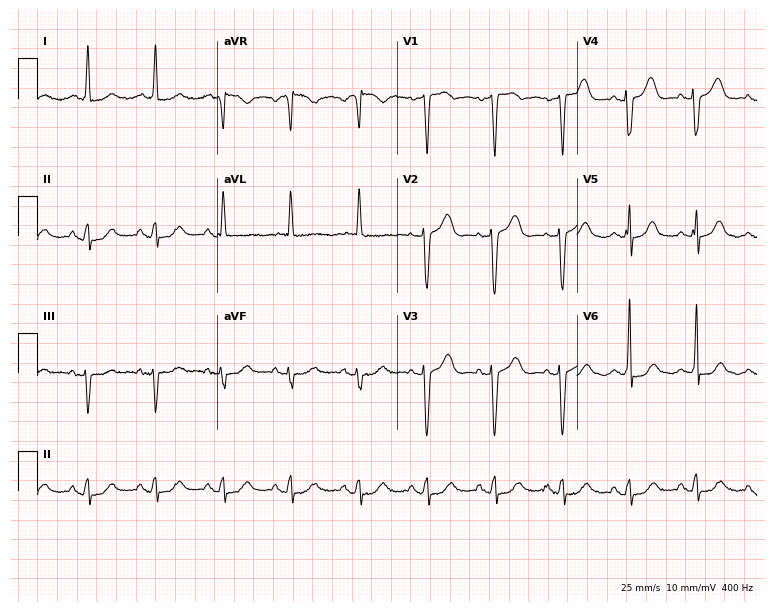
12-lead ECG (7.3-second recording at 400 Hz) from a female, 75 years old. Labelled as a normal ECG.